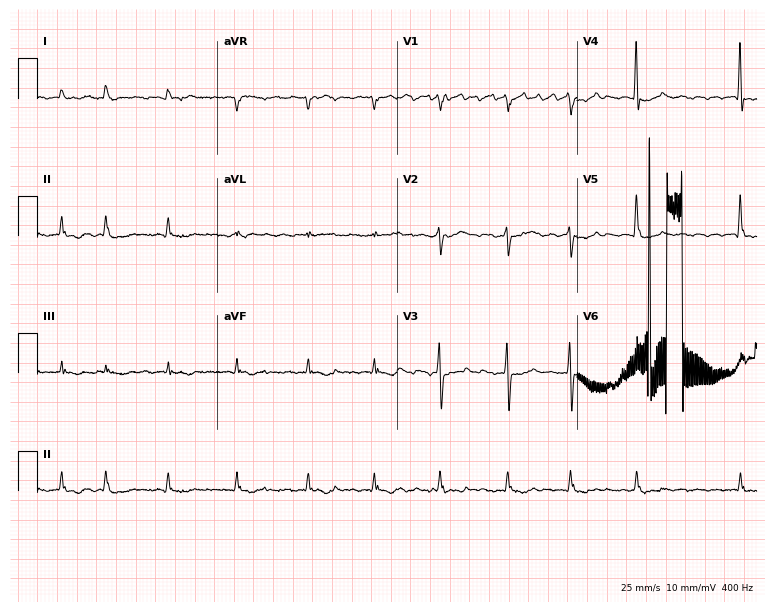
12-lead ECG from a 74-year-old female. Shows atrial fibrillation.